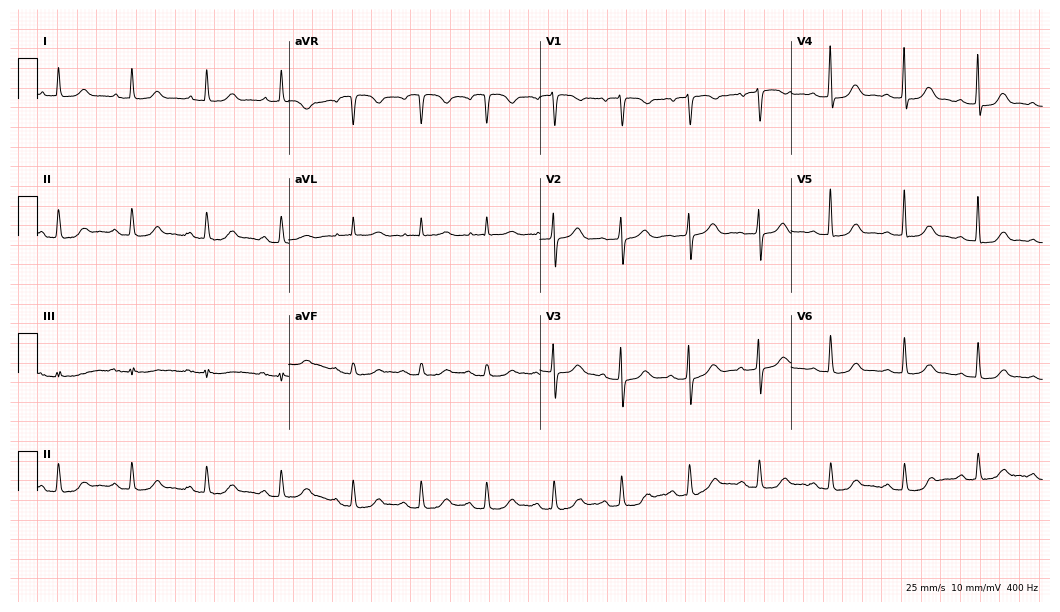
Standard 12-lead ECG recorded from an 80-year-old female. Read as a normal ECG.